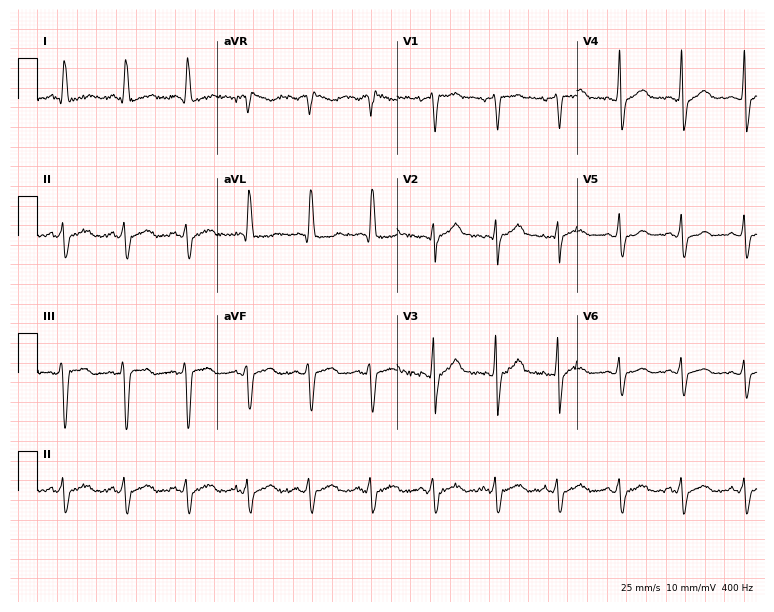
Standard 12-lead ECG recorded from a 43-year-old male patient. None of these six findings is recorded: first-degree AV block, right bundle branch block (RBBB), left bundle branch block (LBBB), sinus bradycardia, atrial fibrillation (AF), sinus tachycardia.